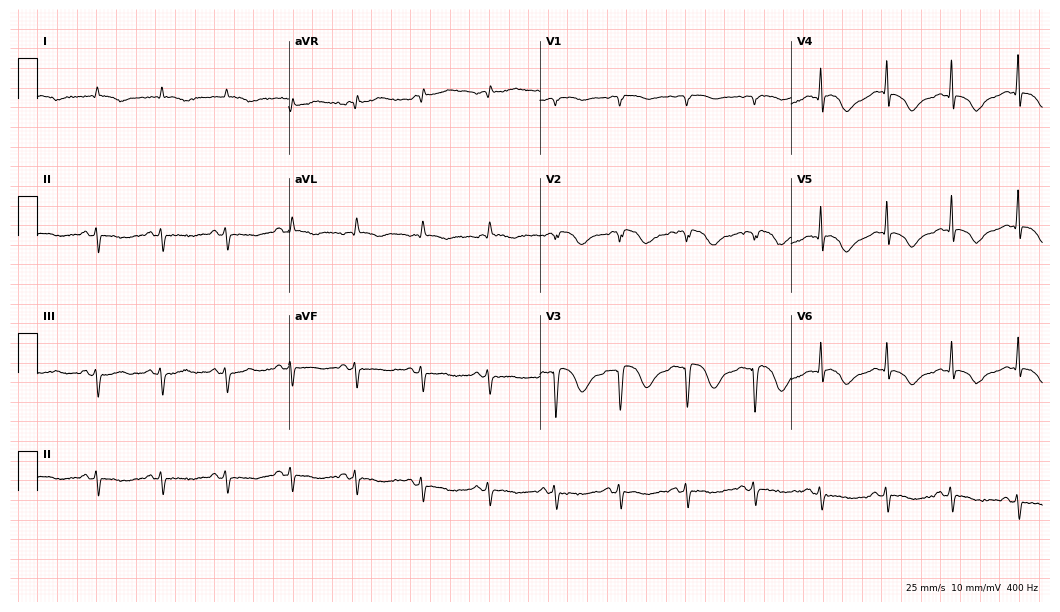
Resting 12-lead electrocardiogram (10.2-second recording at 400 Hz). Patient: a 61-year-old male. None of these six findings is recorded: first-degree AV block, right bundle branch block, left bundle branch block, sinus bradycardia, atrial fibrillation, sinus tachycardia.